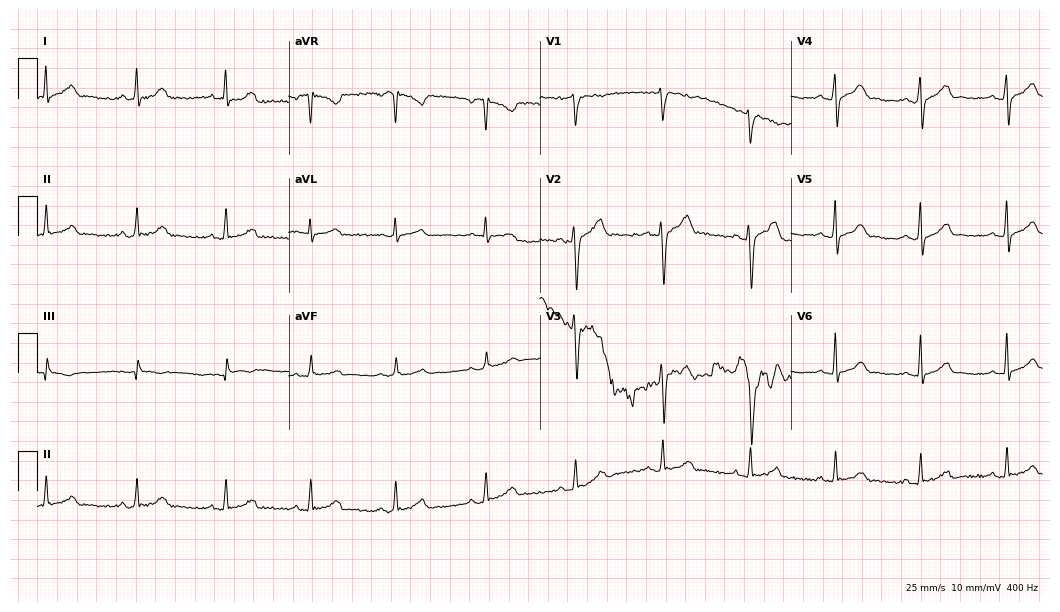
Resting 12-lead electrocardiogram (10.2-second recording at 400 Hz). Patient: a 32-year-old male. Read as a normal ECG.